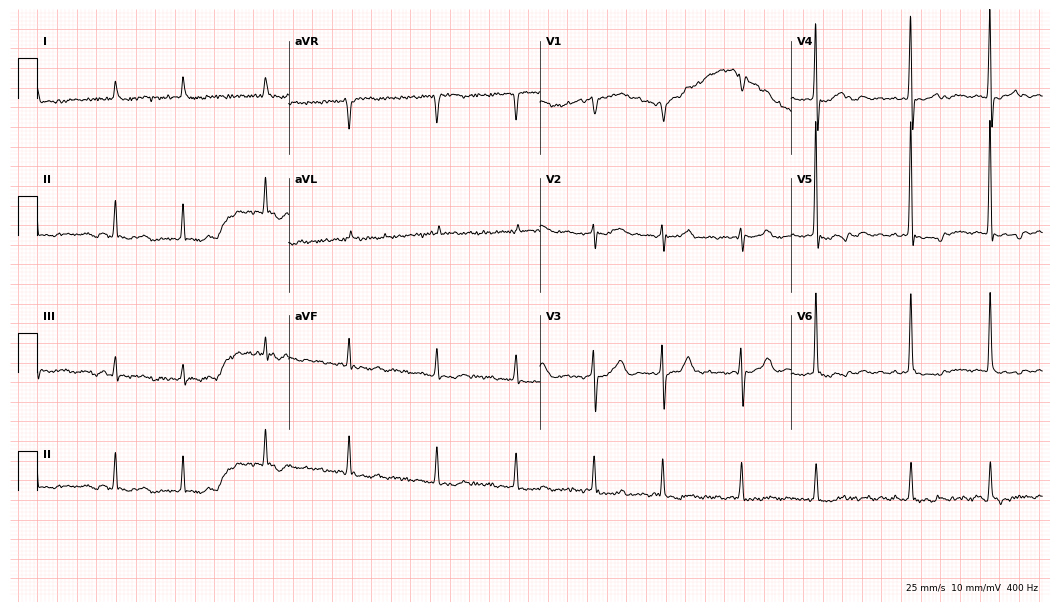
12-lead ECG from a female, 82 years old (10.2-second recording at 400 Hz). Shows atrial fibrillation.